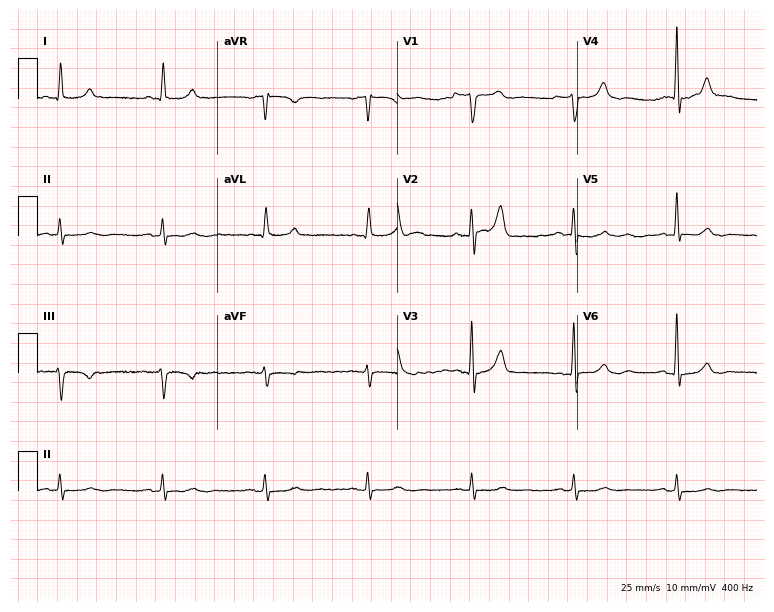
Electrocardiogram, an 82-year-old male patient. Of the six screened findings (first-degree AV block, right bundle branch block, left bundle branch block, sinus bradycardia, atrial fibrillation, sinus tachycardia), none is recorded. Other findings, if any, are not listed.